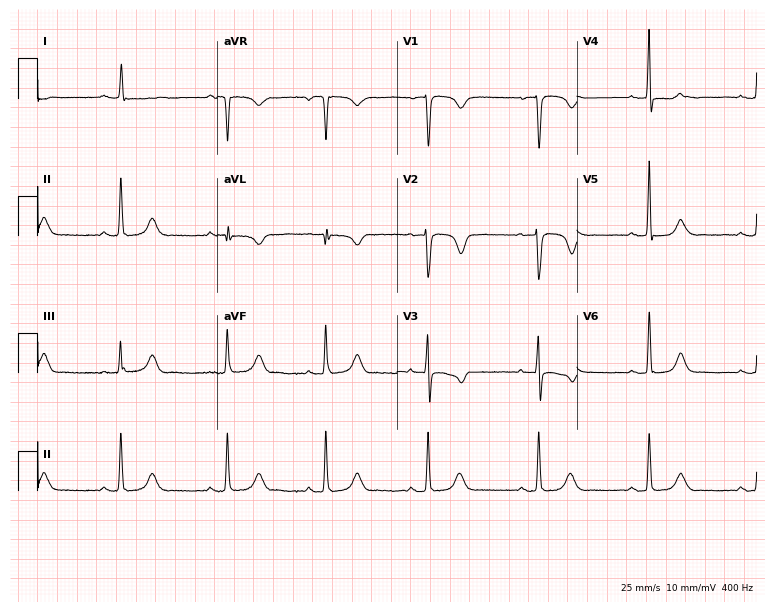
Standard 12-lead ECG recorded from a 60-year-old woman. None of these six findings is recorded: first-degree AV block, right bundle branch block, left bundle branch block, sinus bradycardia, atrial fibrillation, sinus tachycardia.